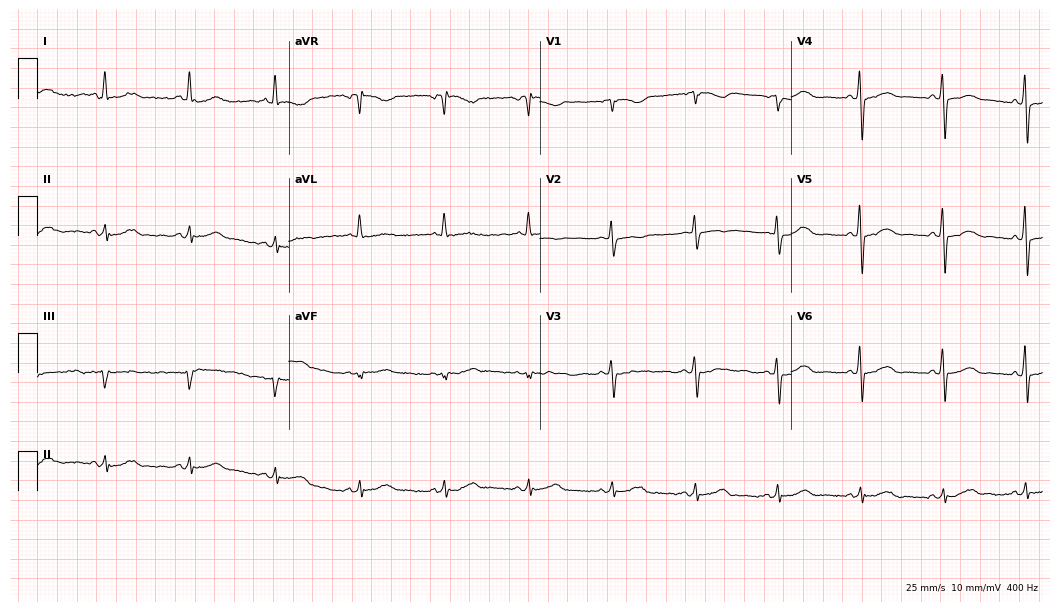
12-lead ECG from a female patient, 65 years old. No first-degree AV block, right bundle branch block, left bundle branch block, sinus bradycardia, atrial fibrillation or sinus tachycardia recorded for this tracing. Only these six findings were labelled.